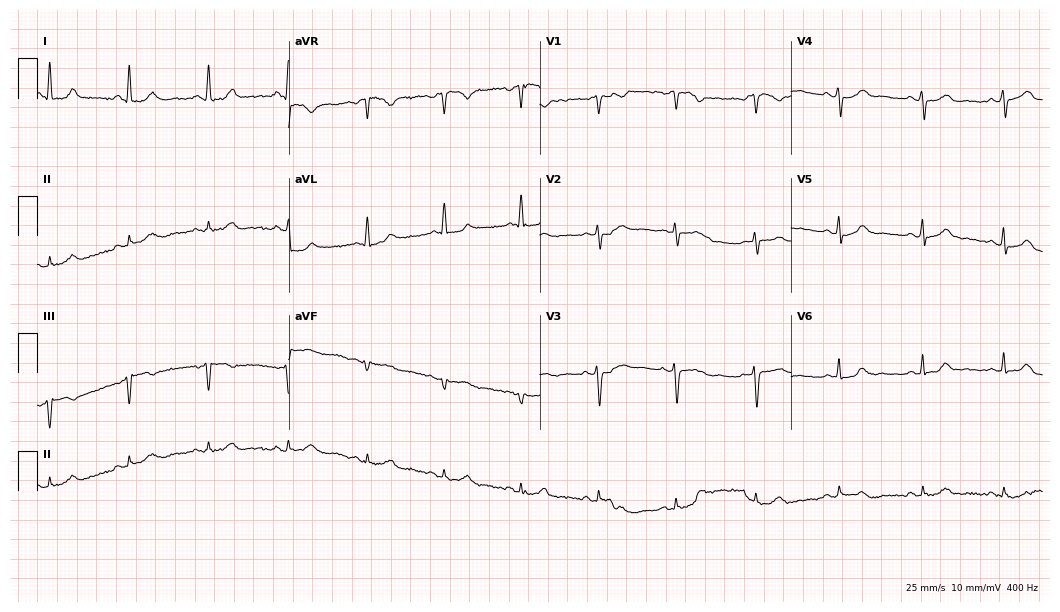
Resting 12-lead electrocardiogram (10.2-second recording at 400 Hz). Patient: a 44-year-old female. Read as a normal ECG.